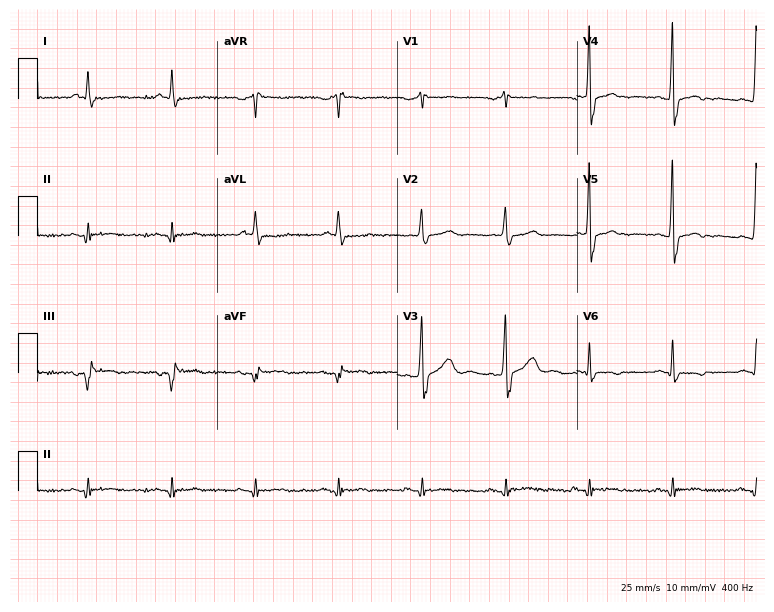
12-lead ECG from a woman, 77 years old (7.3-second recording at 400 Hz). No first-degree AV block, right bundle branch block (RBBB), left bundle branch block (LBBB), sinus bradycardia, atrial fibrillation (AF) or sinus tachycardia recorded for this tracing. Only these six findings were labelled.